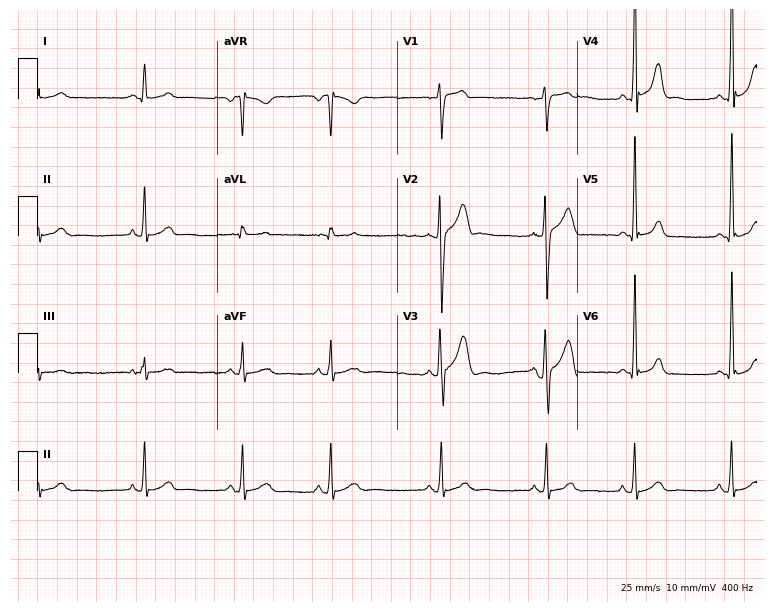
12-lead ECG from a 30-year-old male (7.3-second recording at 400 Hz). No first-degree AV block, right bundle branch block, left bundle branch block, sinus bradycardia, atrial fibrillation or sinus tachycardia recorded for this tracing. Only these six findings were labelled.